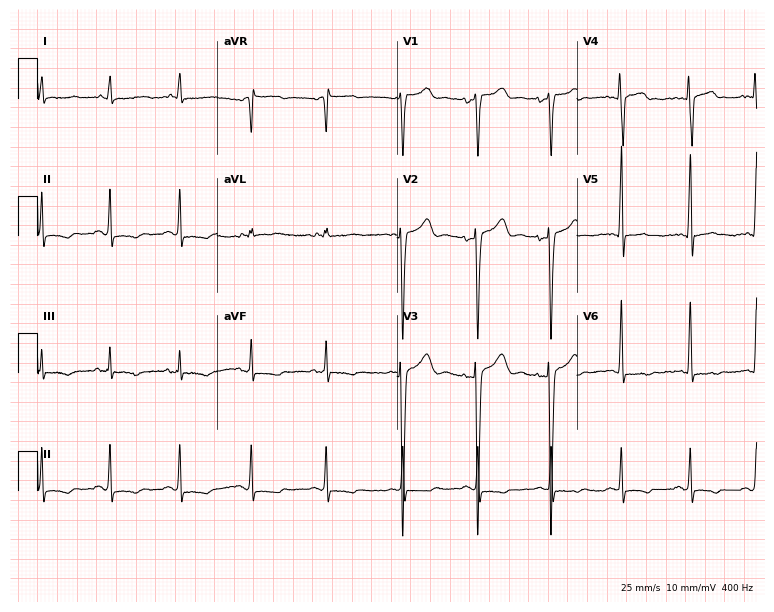
Standard 12-lead ECG recorded from a 39-year-old female. None of these six findings is recorded: first-degree AV block, right bundle branch block, left bundle branch block, sinus bradycardia, atrial fibrillation, sinus tachycardia. Other findings, if any, are not listed.